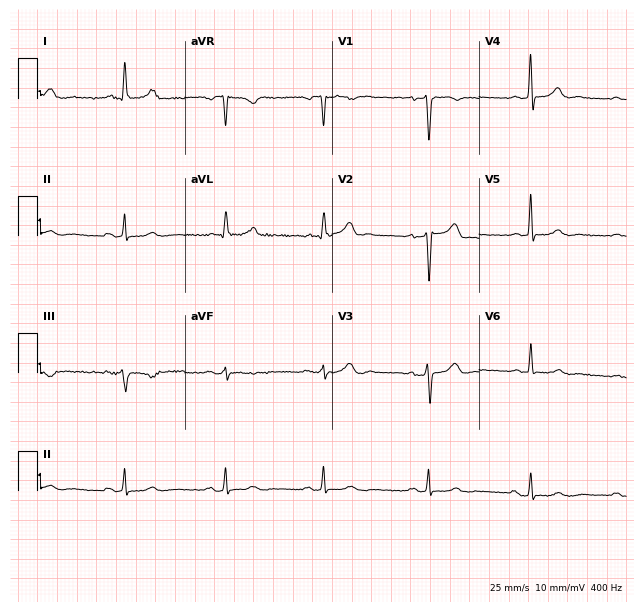
Standard 12-lead ECG recorded from a 49-year-old man. Read as a normal ECG.